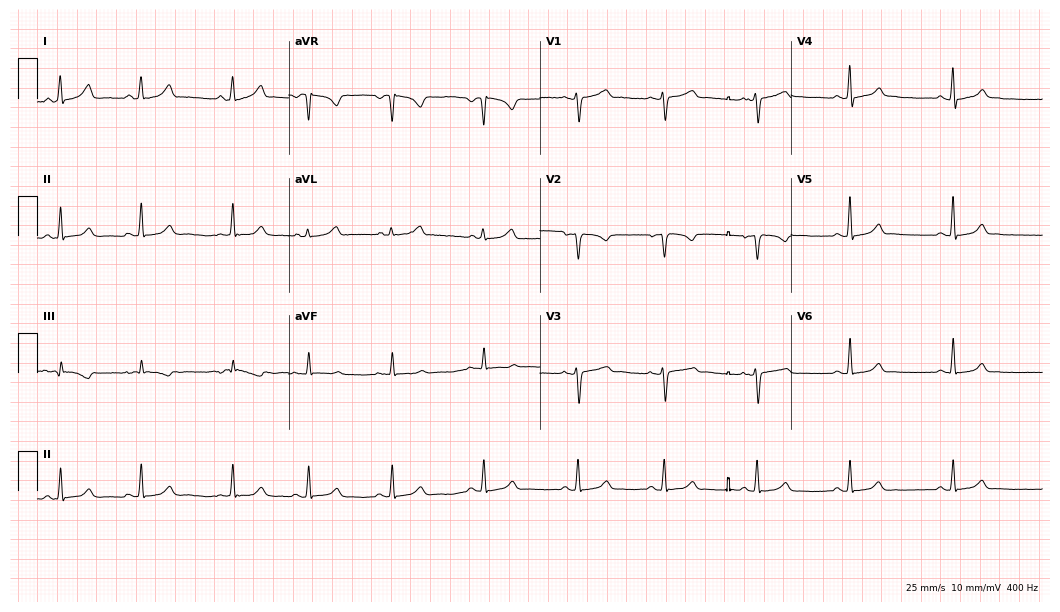
12-lead ECG from a female patient, 27 years old (10.2-second recording at 400 Hz). Recorded interpretation: within normal limits.